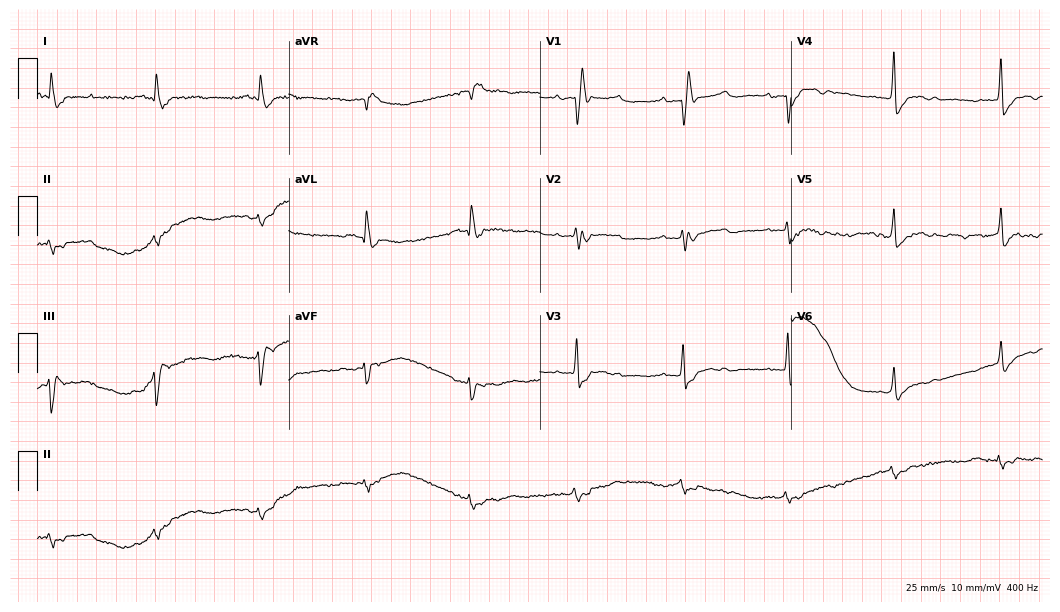
ECG — a 53-year-old male patient. Screened for six findings — first-degree AV block, right bundle branch block, left bundle branch block, sinus bradycardia, atrial fibrillation, sinus tachycardia — none is recorded. Other findings, if any, are not listed.